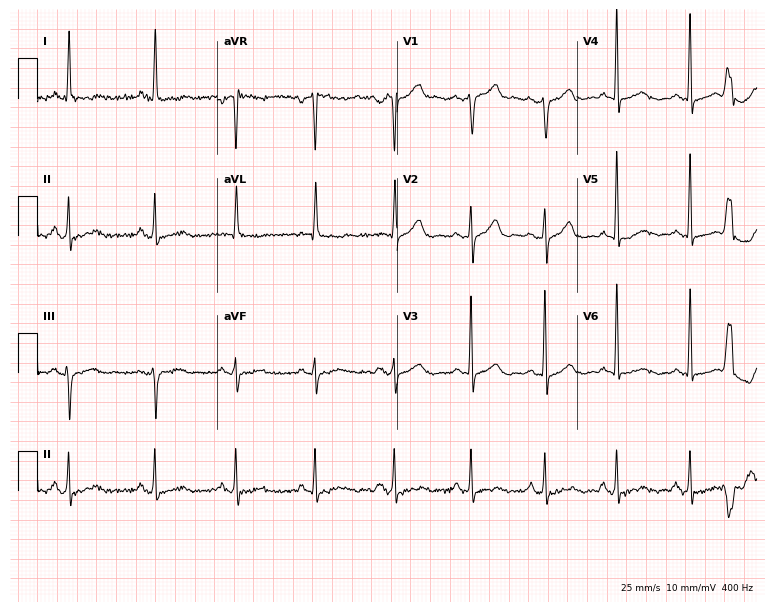
12-lead ECG from a 63-year-old female. Labelled as a normal ECG.